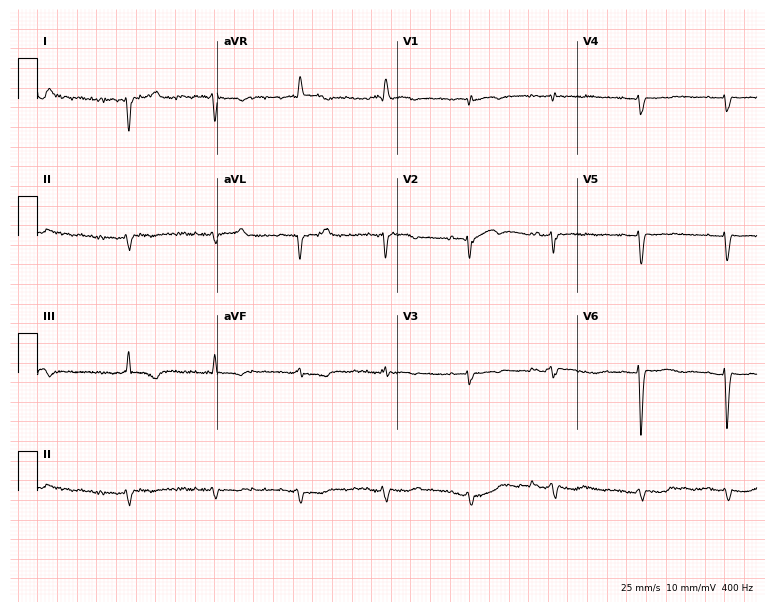
Standard 12-lead ECG recorded from an 82-year-old female. None of these six findings is recorded: first-degree AV block, right bundle branch block (RBBB), left bundle branch block (LBBB), sinus bradycardia, atrial fibrillation (AF), sinus tachycardia. Findings outside these six are not listed.